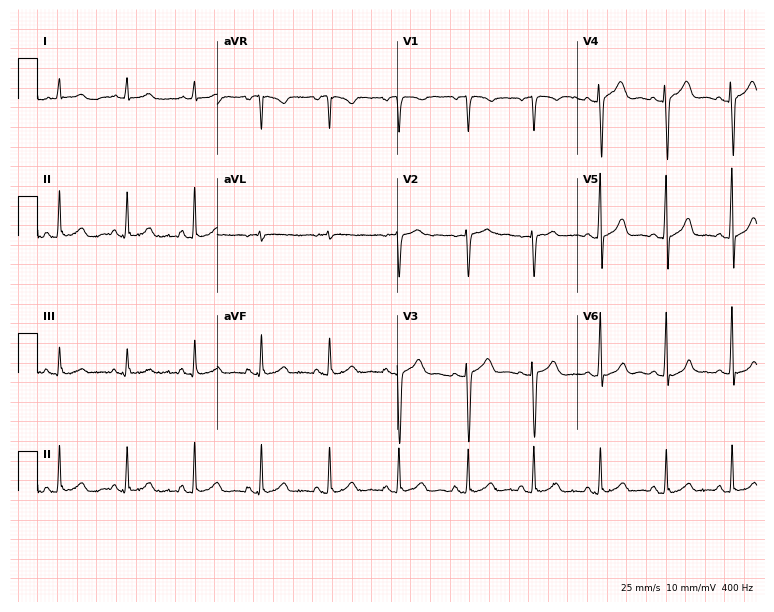
12-lead ECG from a 47-year-old female. Labelled as a normal ECG.